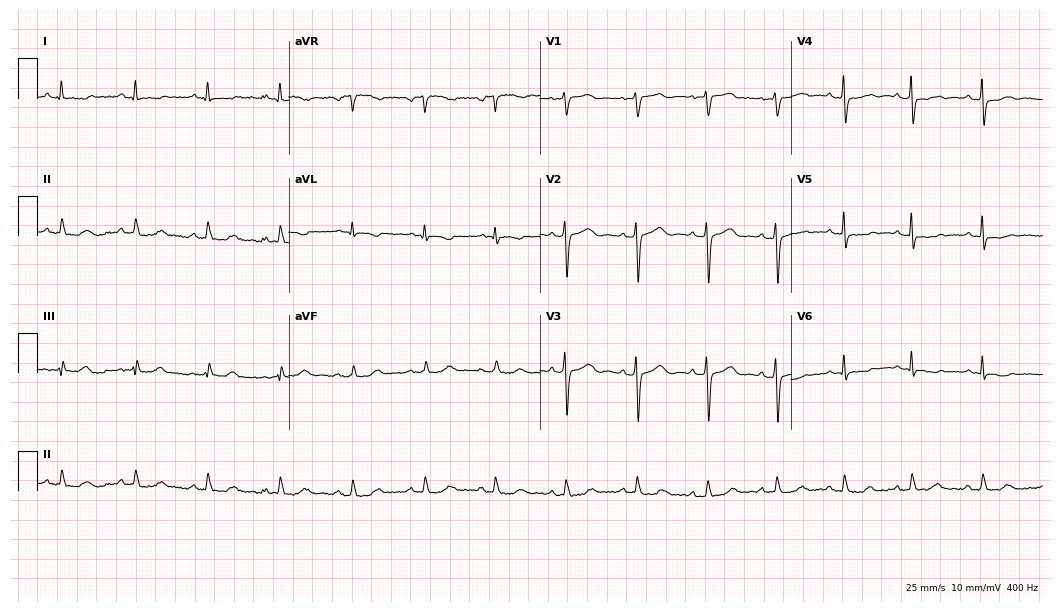
12-lead ECG from a female, 63 years old (10.2-second recording at 400 Hz). No first-degree AV block, right bundle branch block, left bundle branch block, sinus bradycardia, atrial fibrillation or sinus tachycardia recorded for this tracing. Other findings, if any, are not listed.